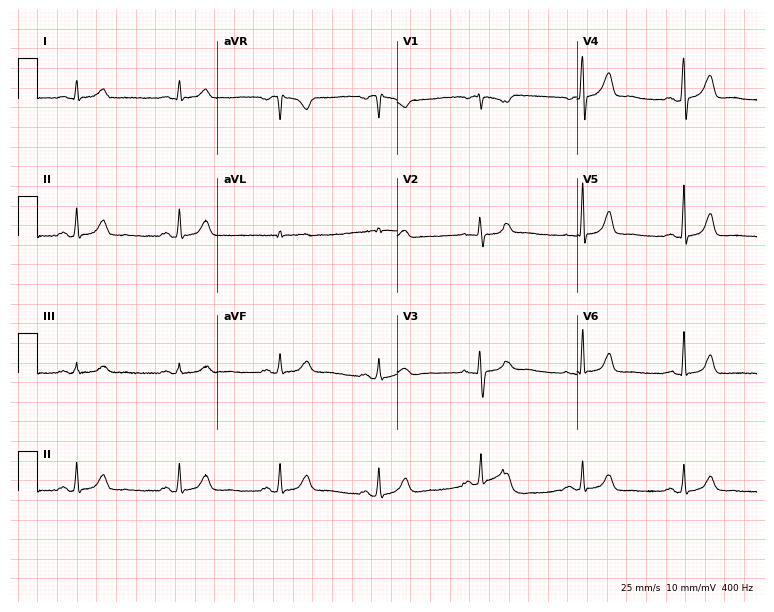
Resting 12-lead electrocardiogram (7.3-second recording at 400 Hz). Patient: a woman, 36 years old. Read as a normal ECG.